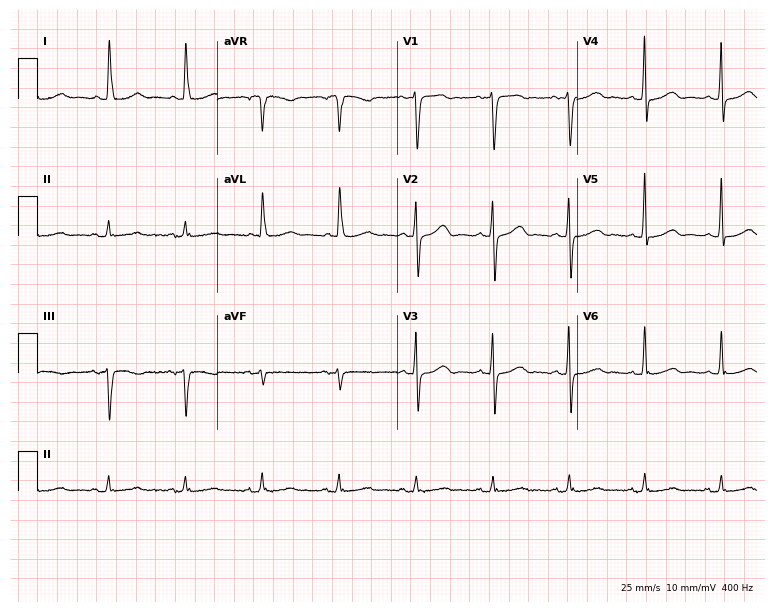
12-lead ECG from a female, 83 years old. Recorded interpretation: within normal limits.